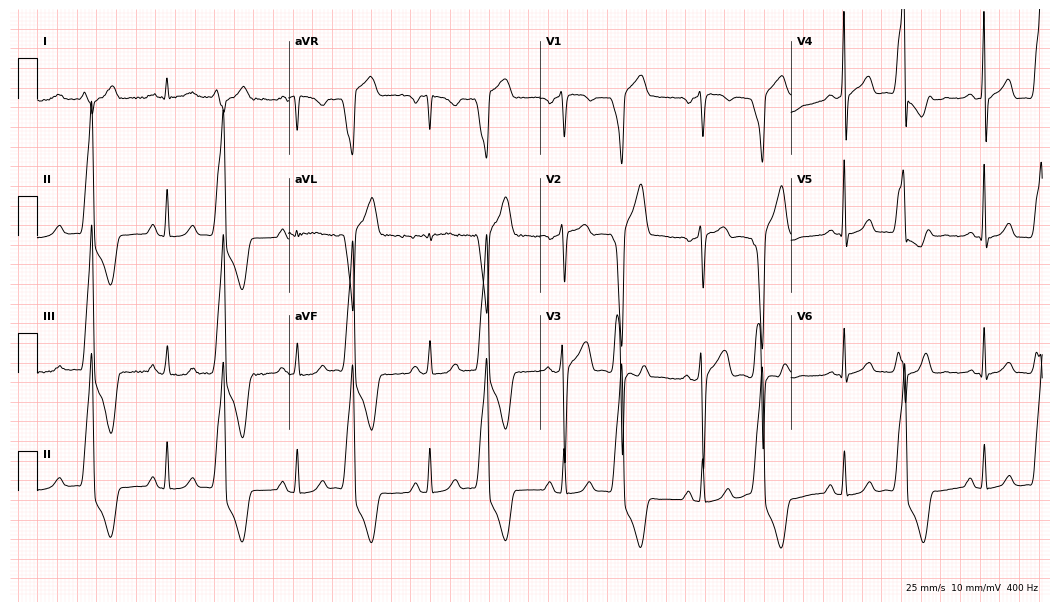
12-lead ECG from a male patient, 52 years old (10.2-second recording at 400 Hz). No first-degree AV block, right bundle branch block, left bundle branch block, sinus bradycardia, atrial fibrillation or sinus tachycardia recorded for this tracing.